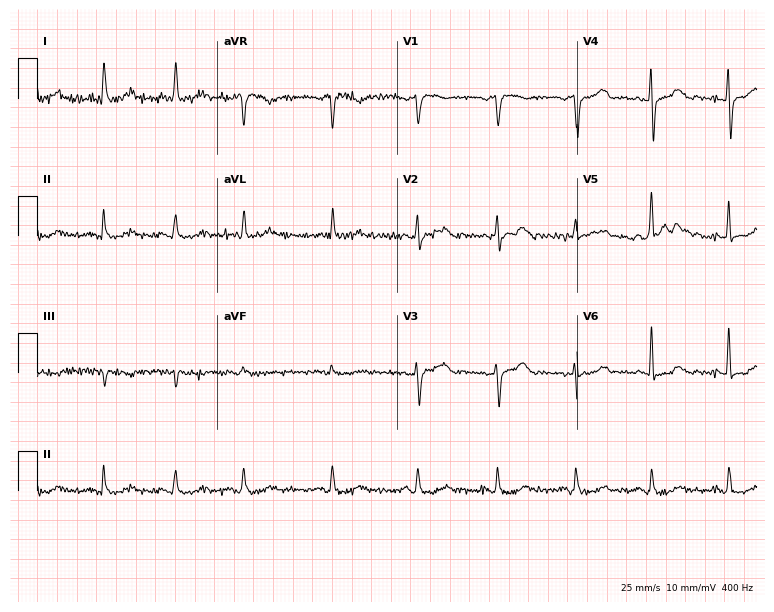
12-lead ECG from an 83-year-old female. Recorded interpretation: within normal limits.